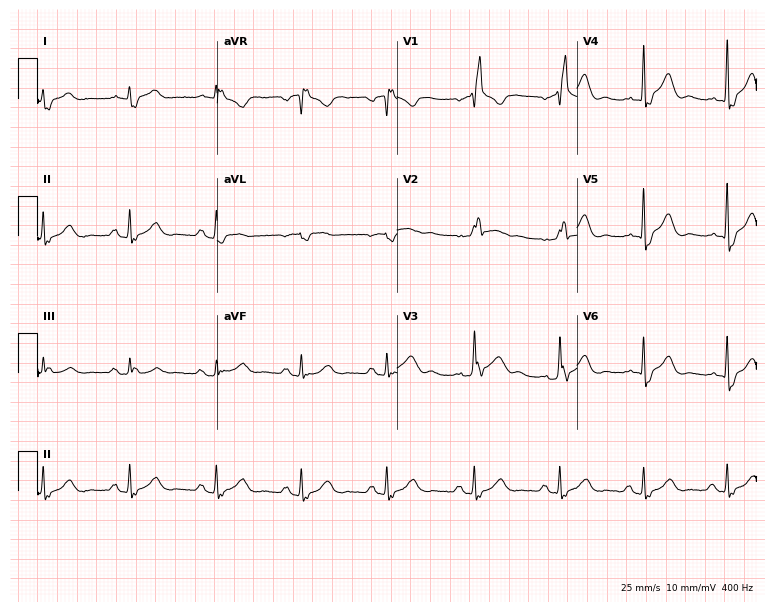
12-lead ECG from a 65-year-old man (7.3-second recording at 400 Hz). Shows right bundle branch block.